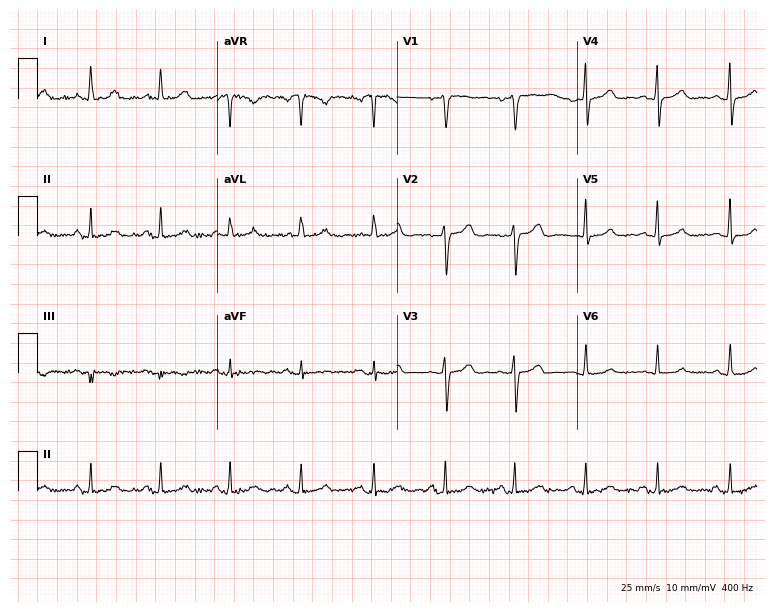
12-lead ECG (7.3-second recording at 400 Hz) from a woman, 60 years old. Labelled as a normal ECG.